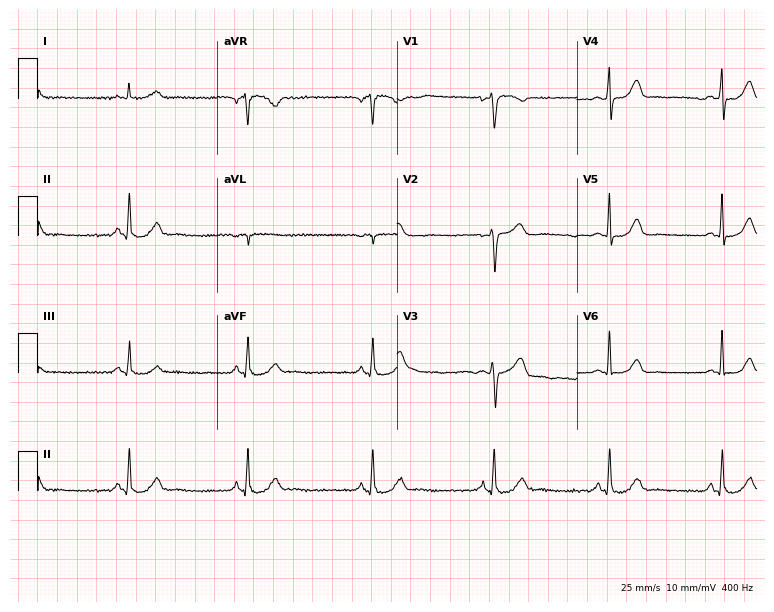
12-lead ECG from a 59-year-old man. Recorded interpretation: within normal limits.